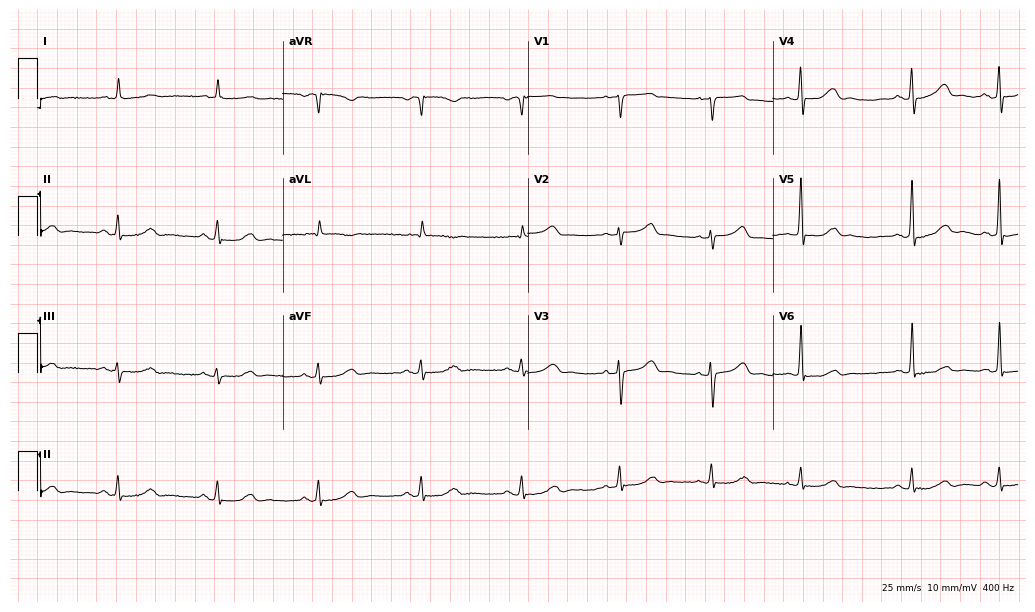
12-lead ECG from a female patient, 85 years old. No first-degree AV block, right bundle branch block, left bundle branch block, sinus bradycardia, atrial fibrillation or sinus tachycardia recorded for this tracing. Findings outside these six are not listed.